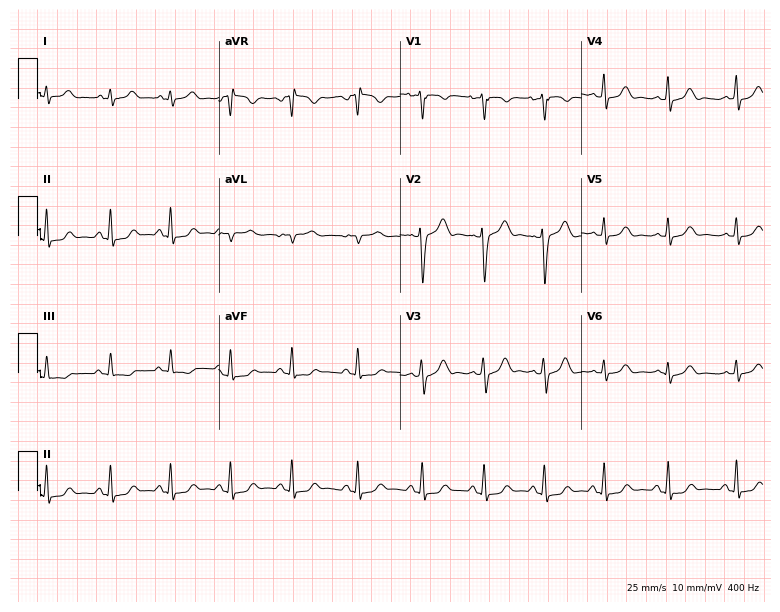
Standard 12-lead ECG recorded from a female, 25 years old (7.4-second recording at 400 Hz). None of these six findings is recorded: first-degree AV block, right bundle branch block, left bundle branch block, sinus bradycardia, atrial fibrillation, sinus tachycardia. Only these six findings were labelled.